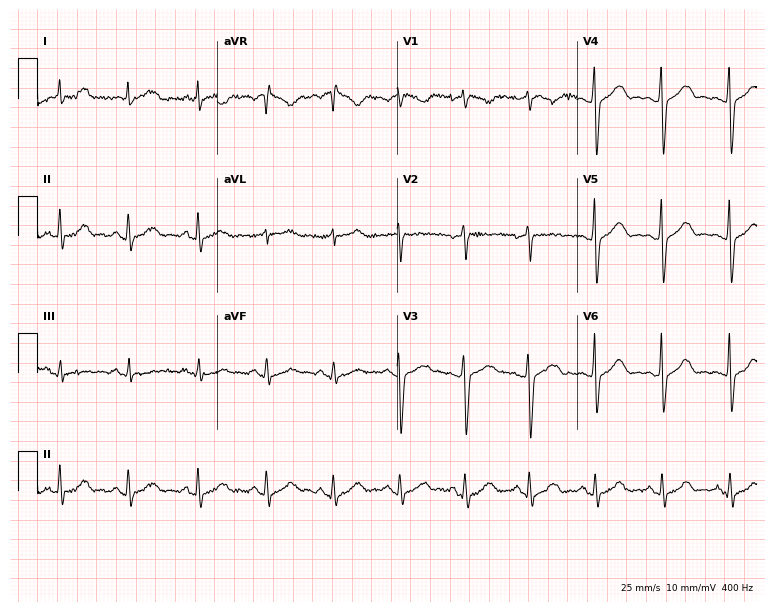
12-lead ECG (7.3-second recording at 400 Hz) from a 37-year-old woman. Screened for six findings — first-degree AV block, right bundle branch block (RBBB), left bundle branch block (LBBB), sinus bradycardia, atrial fibrillation (AF), sinus tachycardia — none is recorded. Only these six findings were labelled.